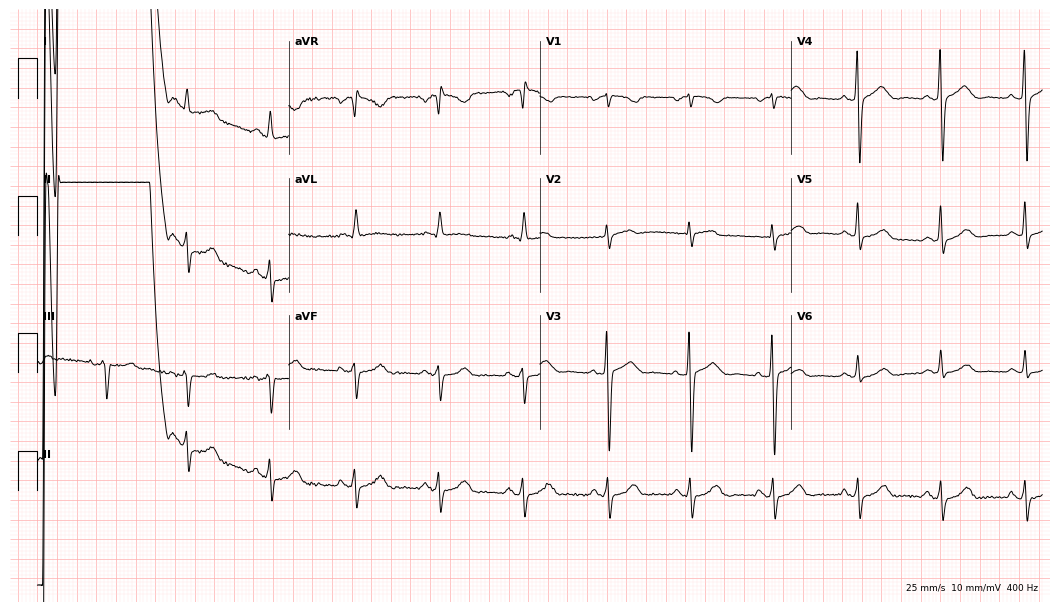
12-lead ECG from a 73-year-old woman (10.2-second recording at 400 Hz). Recorded interpretation: within normal limits.